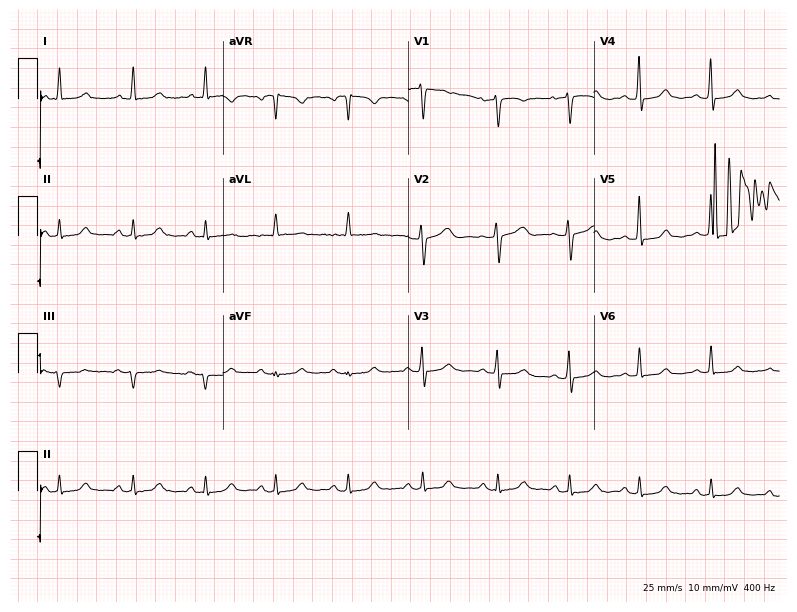
ECG — a woman, 60 years old. Screened for six findings — first-degree AV block, right bundle branch block, left bundle branch block, sinus bradycardia, atrial fibrillation, sinus tachycardia — none is recorded.